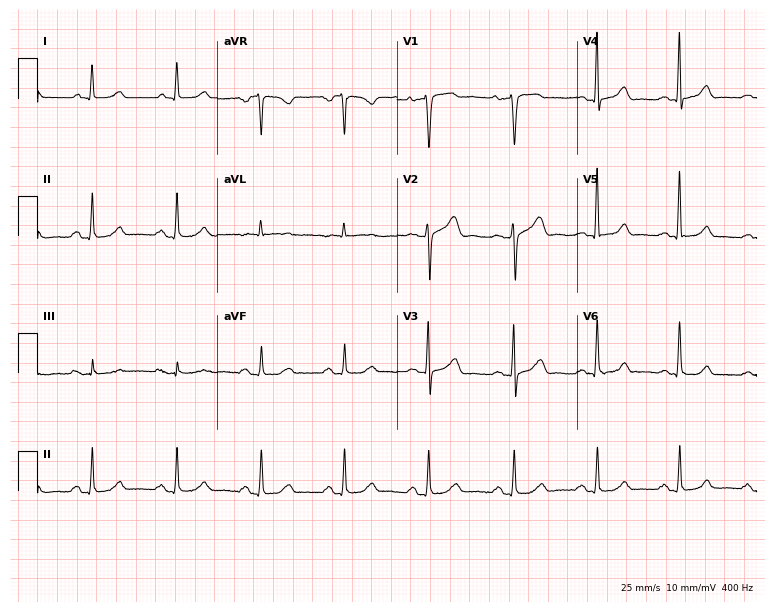
Standard 12-lead ECG recorded from a woman, 48 years old. Read as a normal ECG.